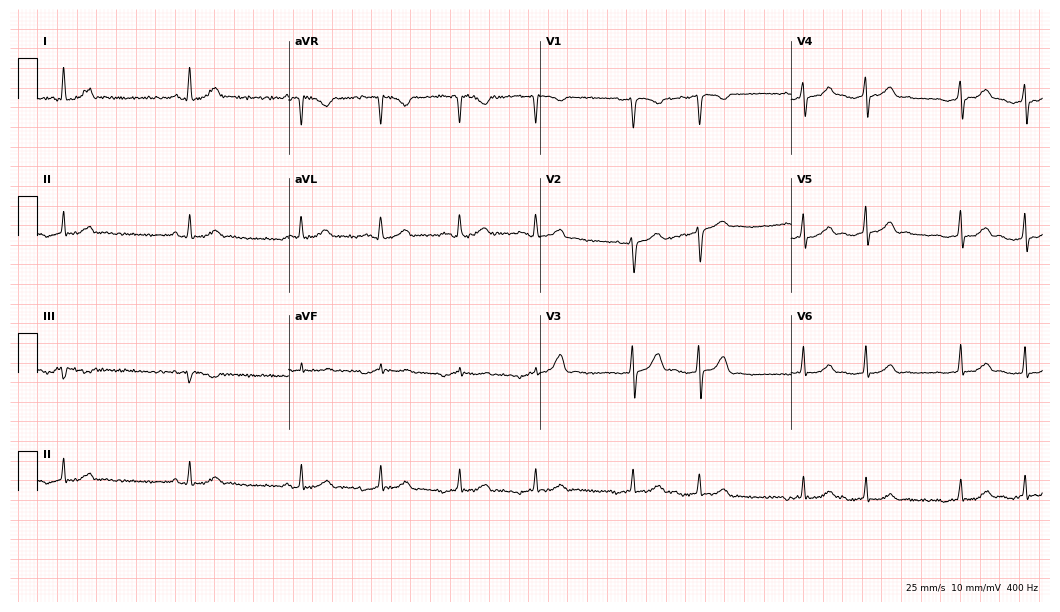
ECG (10.2-second recording at 400 Hz) — a 32-year-old woman. Screened for six findings — first-degree AV block, right bundle branch block, left bundle branch block, sinus bradycardia, atrial fibrillation, sinus tachycardia — none is recorded. Findings outside these six are not listed.